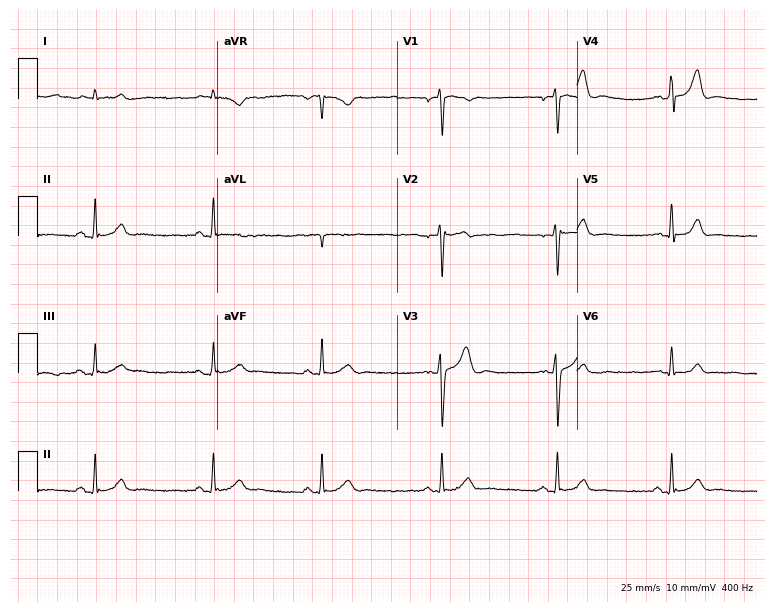
Standard 12-lead ECG recorded from a 45-year-old man (7.3-second recording at 400 Hz). None of these six findings is recorded: first-degree AV block, right bundle branch block (RBBB), left bundle branch block (LBBB), sinus bradycardia, atrial fibrillation (AF), sinus tachycardia.